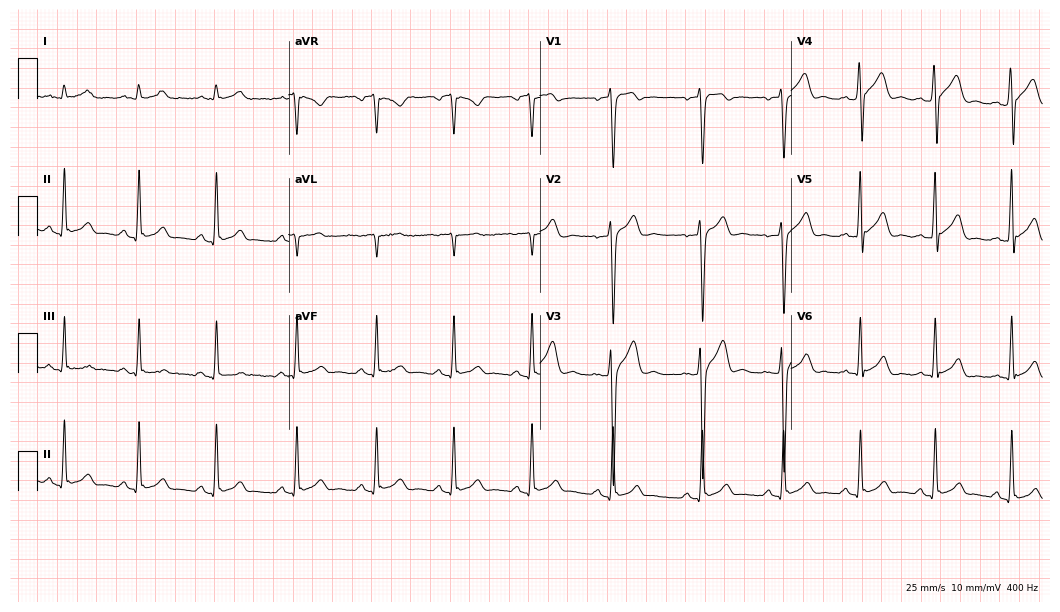
12-lead ECG from a male, 23 years old. Labelled as a normal ECG.